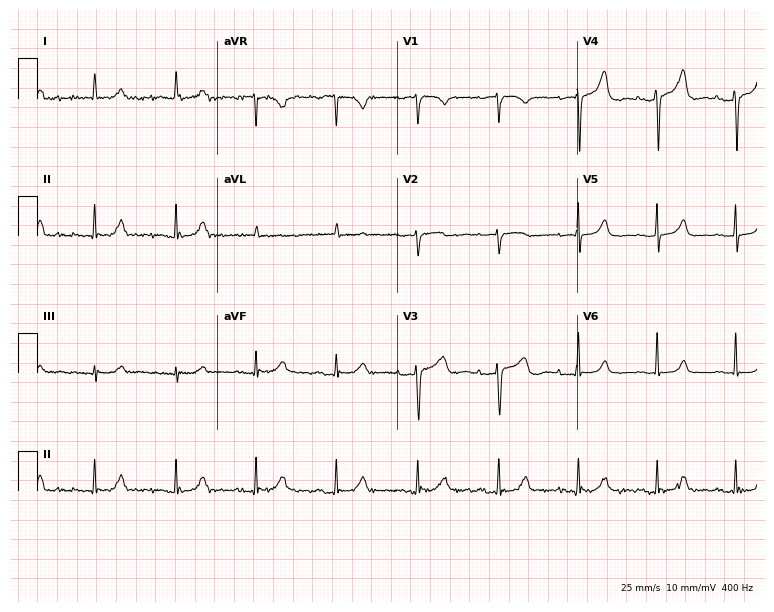
12-lead ECG from a woman, 84 years old. Screened for six findings — first-degree AV block, right bundle branch block (RBBB), left bundle branch block (LBBB), sinus bradycardia, atrial fibrillation (AF), sinus tachycardia — none is recorded. Findings outside these six are not listed.